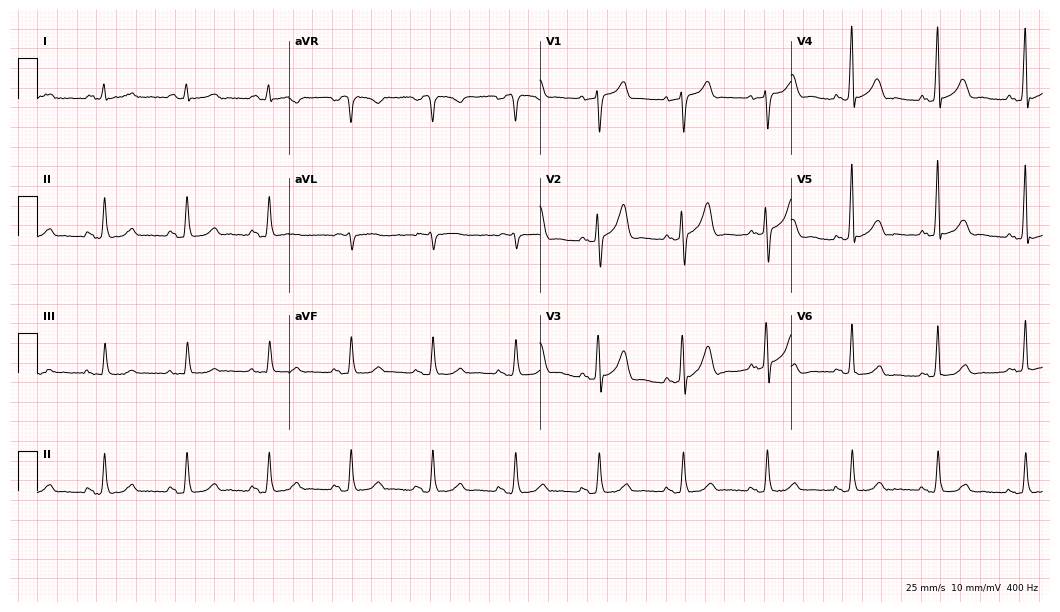
Standard 12-lead ECG recorded from a male, 58 years old. None of these six findings is recorded: first-degree AV block, right bundle branch block (RBBB), left bundle branch block (LBBB), sinus bradycardia, atrial fibrillation (AF), sinus tachycardia. Only these six findings were labelled.